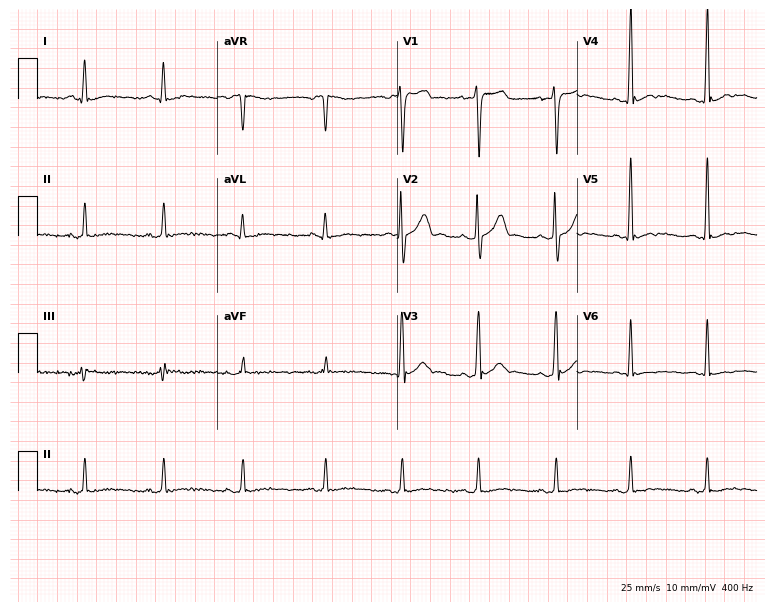
Electrocardiogram (7.3-second recording at 400 Hz), a male, 25 years old. Of the six screened findings (first-degree AV block, right bundle branch block (RBBB), left bundle branch block (LBBB), sinus bradycardia, atrial fibrillation (AF), sinus tachycardia), none is recorded.